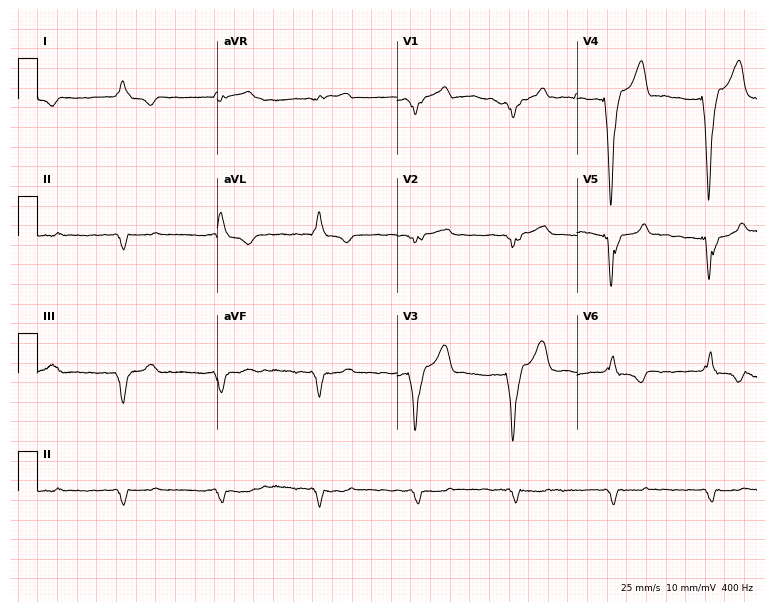
Standard 12-lead ECG recorded from a male patient, 70 years old (7.3-second recording at 400 Hz). None of these six findings is recorded: first-degree AV block, right bundle branch block, left bundle branch block, sinus bradycardia, atrial fibrillation, sinus tachycardia.